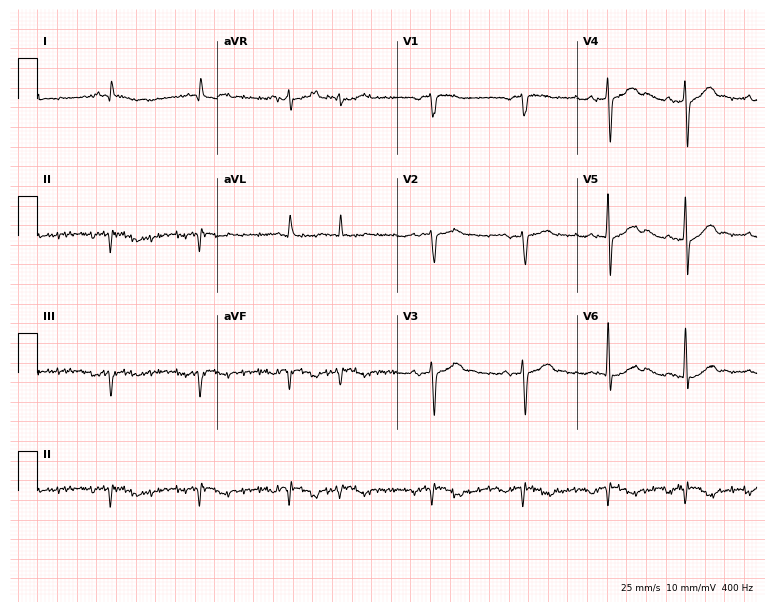
Electrocardiogram (7.3-second recording at 400 Hz), a 71-year-old man. Of the six screened findings (first-degree AV block, right bundle branch block (RBBB), left bundle branch block (LBBB), sinus bradycardia, atrial fibrillation (AF), sinus tachycardia), none is recorded.